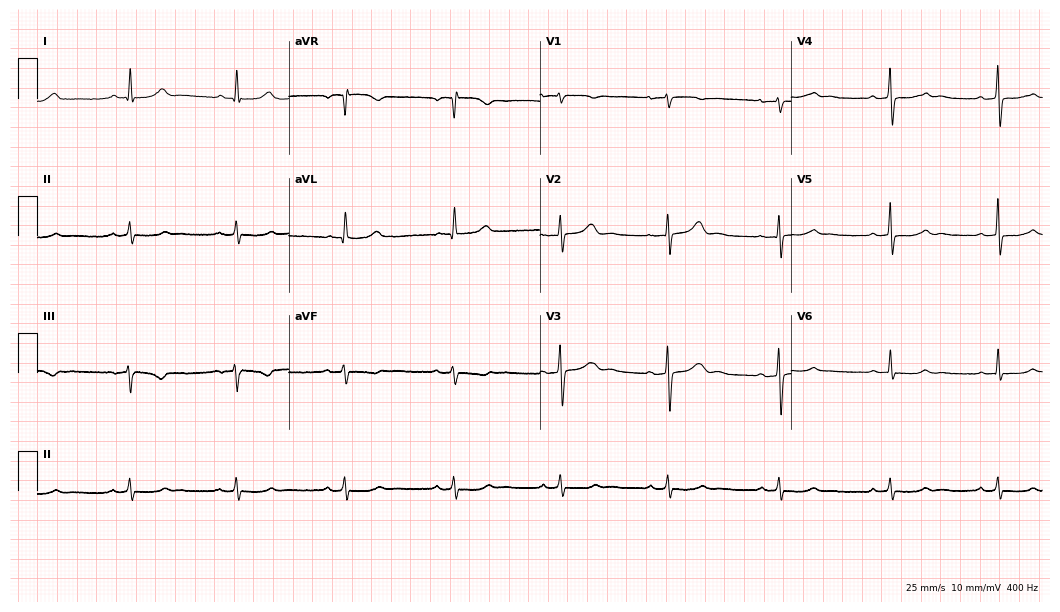
ECG — a female patient, 68 years old. Labelled as a normal ECG.